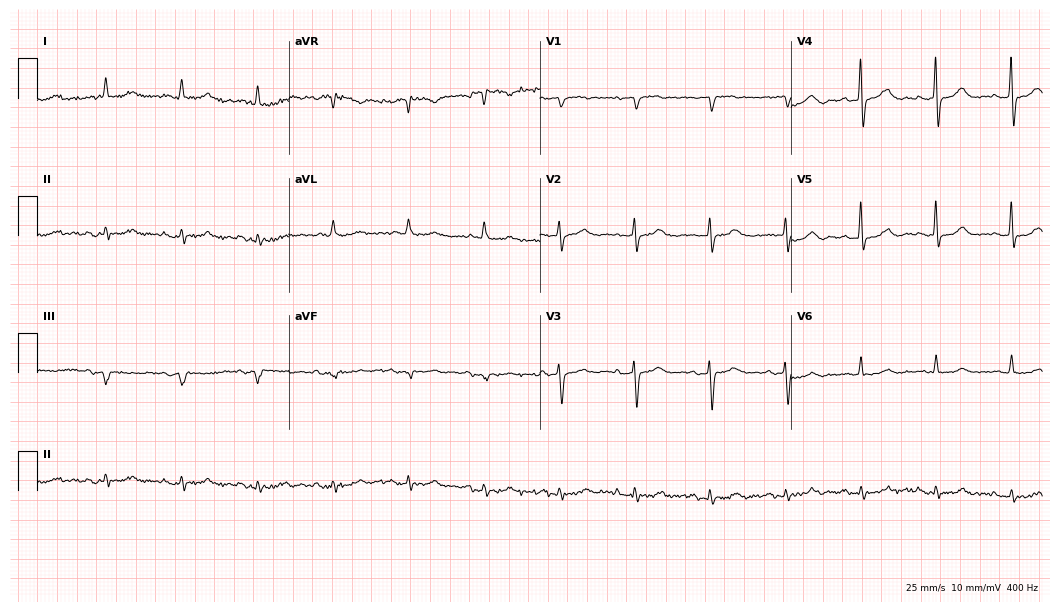
12-lead ECG (10.2-second recording at 400 Hz) from a female patient, 86 years old. Labelled as a normal ECG.